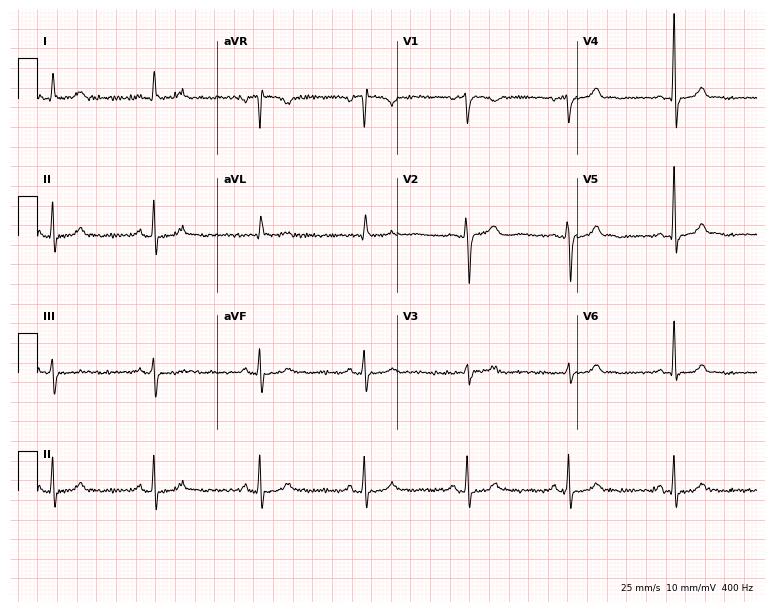
Standard 12-lead ECG recorded from a 64-year-old woman. Read as a normal ECG.